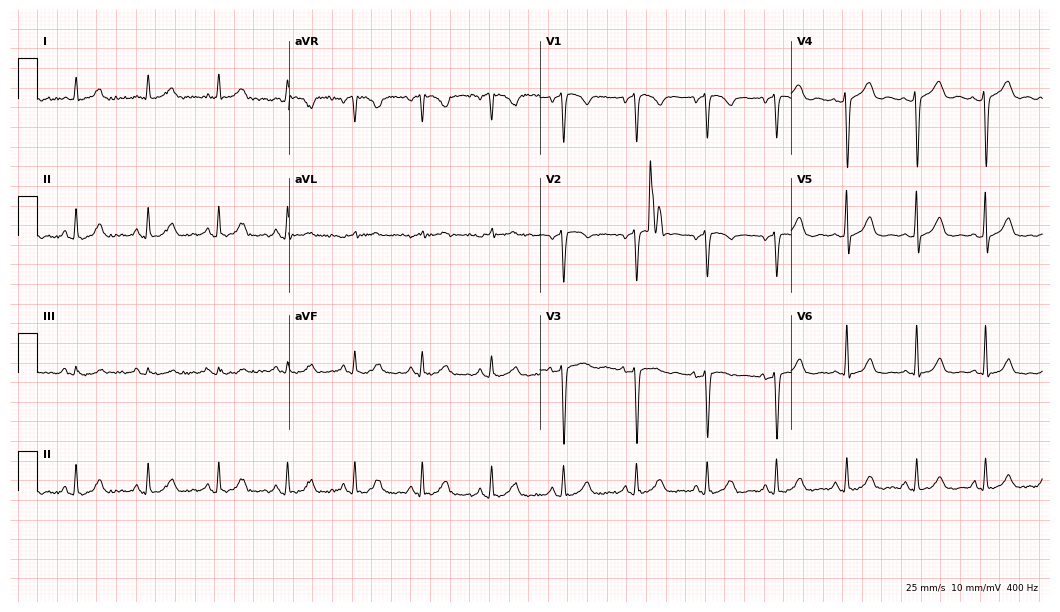
Resting 12-lead electrocardiogram (10.2-second recording at 400 Hz). Patient: a 55-year-old female. None of these six findings is recorded: first-degree AV block, right bundle branch block, left bundle branch block, sinus bradycardia, atrial fibrillation, sinus tachycardia. Only these six findings were labelled.